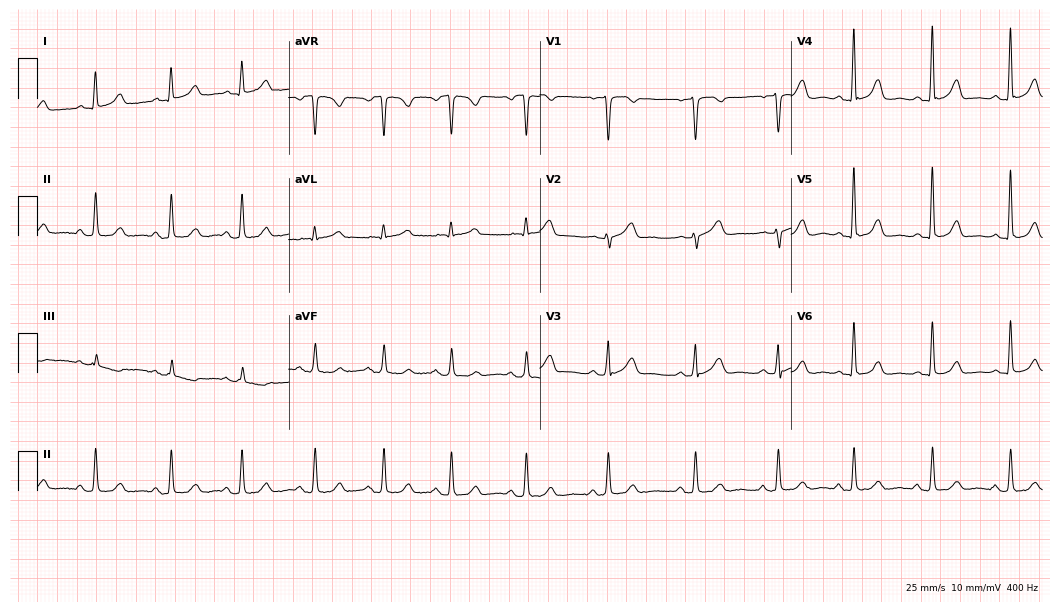
Resting 12-lead electrocardiogram (10.2-second recording at 400 Hz). Patient: a woman, 56 years old. None of these six findings is recorded: first-degree AV block, right bundle branch block (RBBB), left bundle branch block (LBBB), sinus bradycardia, atrial fibrillation (AF), sinus tachycardia. Only these six findings were labelled.